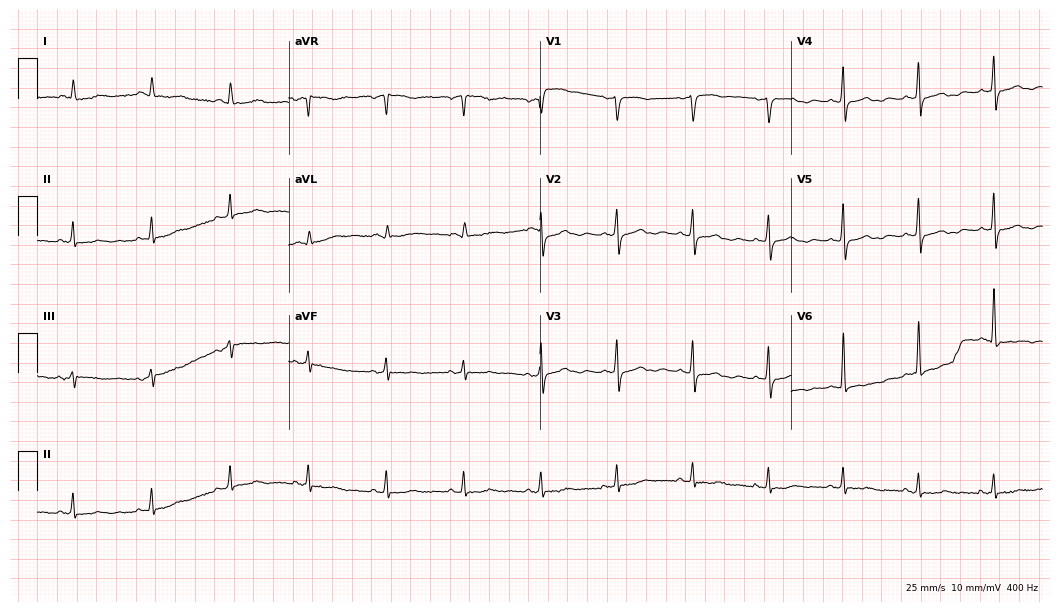
12-lead ECG from a woman, 66 years old. Screened for six findings — first-degree AV block, right bundle branch block, left bundle branch block, sinus bradycardia, atrial fibrillation, sinus tachycardia — none is recorded. Only these six findings were labelled.